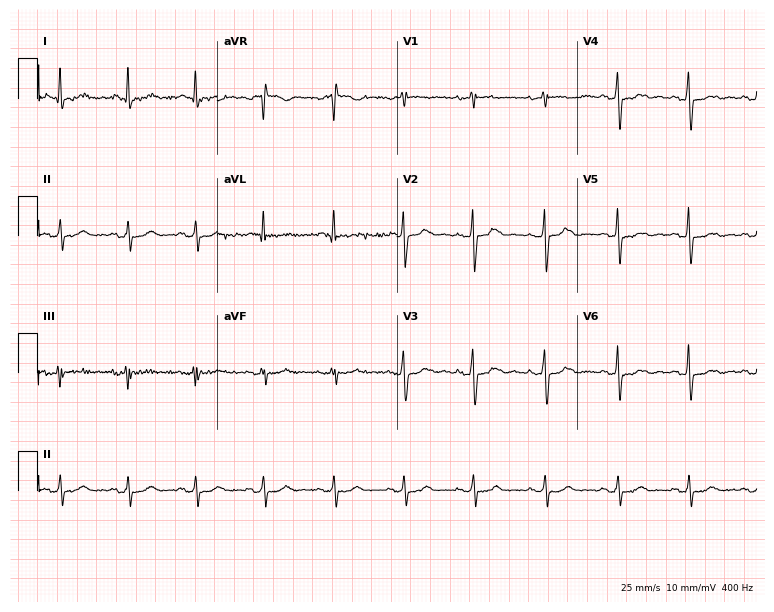
Electrocardiogram (7.3-second recording at 400 Hz), a female patient, 71 years old. Of the six screened findings (first-degree AV block, right bundle branch block, left bundle branch block, sinus bradycardia, atrial fibrillation, sinus tachycardia), none is recorded. Only these six findings were labelled.